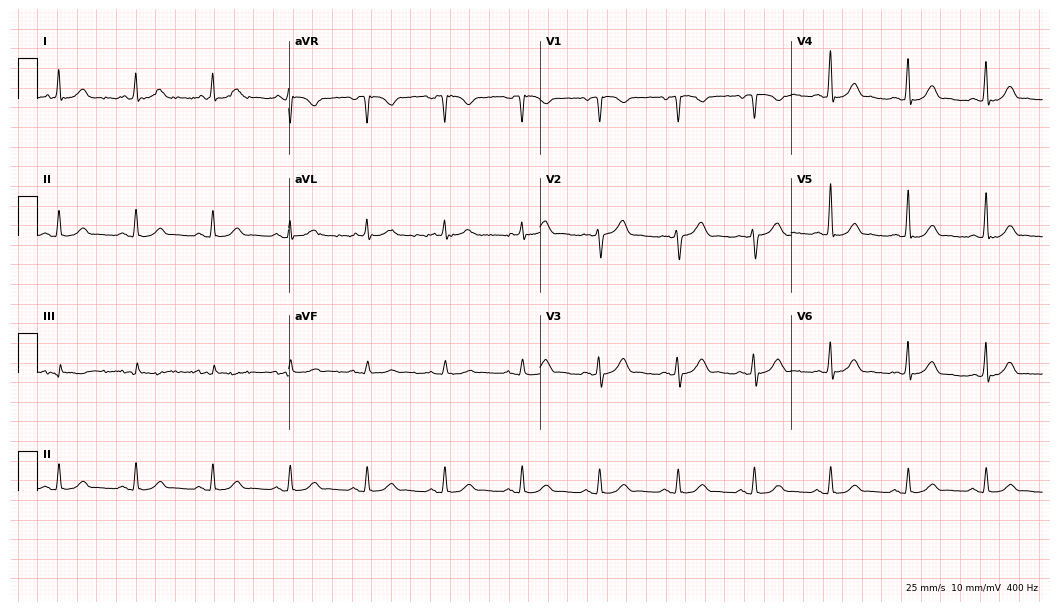
Standard 12-lead ECG recorded from a 75-year-old man. Read as a normal ECG.